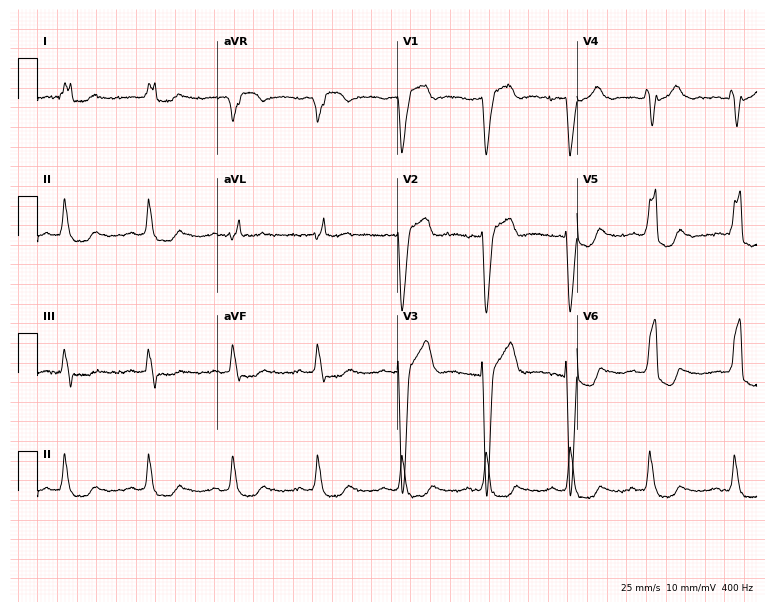
Resting 12-lead electrocardiogram (7.3-second recording at 400 Hz). Patient: a male, 45 years old. None of these six findings is recorded: first-degree AV block, right bundle branch block, left bundle branch block, sinus bradycardia, atrial fibrillation, sinus tachycardia.